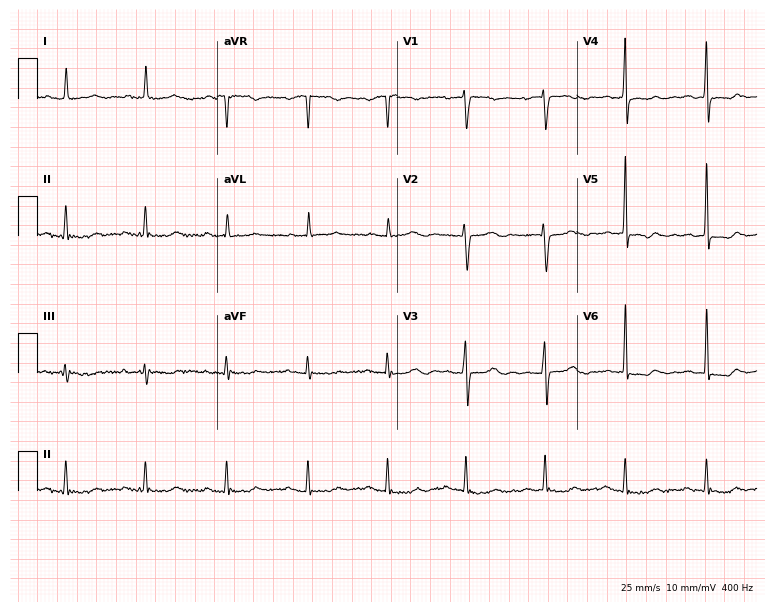
Standard 12-lead ECG recorded from an 85-year-old female (7.3-second recording at 400 Hz). None of these six findings is recorded: first-degree AV block, right bundle branch block, left bundle branch block, sinus bradycardia, atrial fibrillation, sinus tachycardia. Only these six findings were labelled.